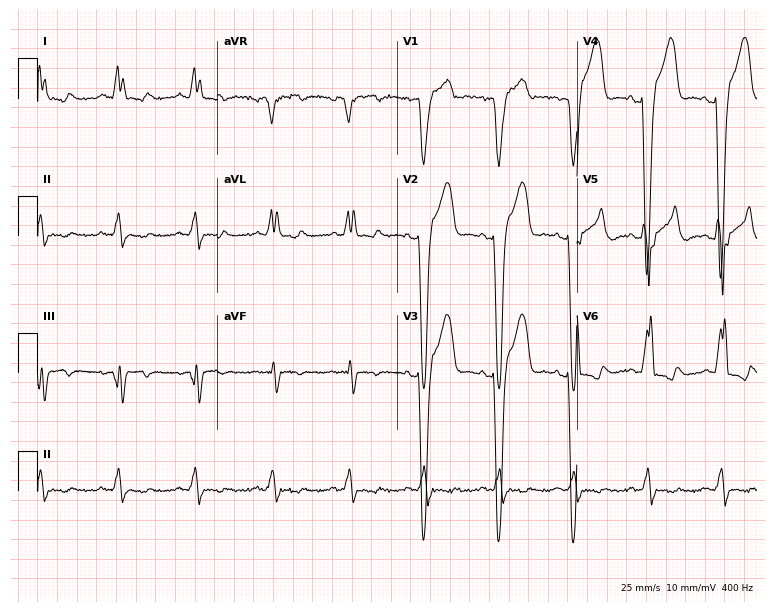
12-lead ECG from a 69-year-old man. Findings include left bundle branch block (LBBB).